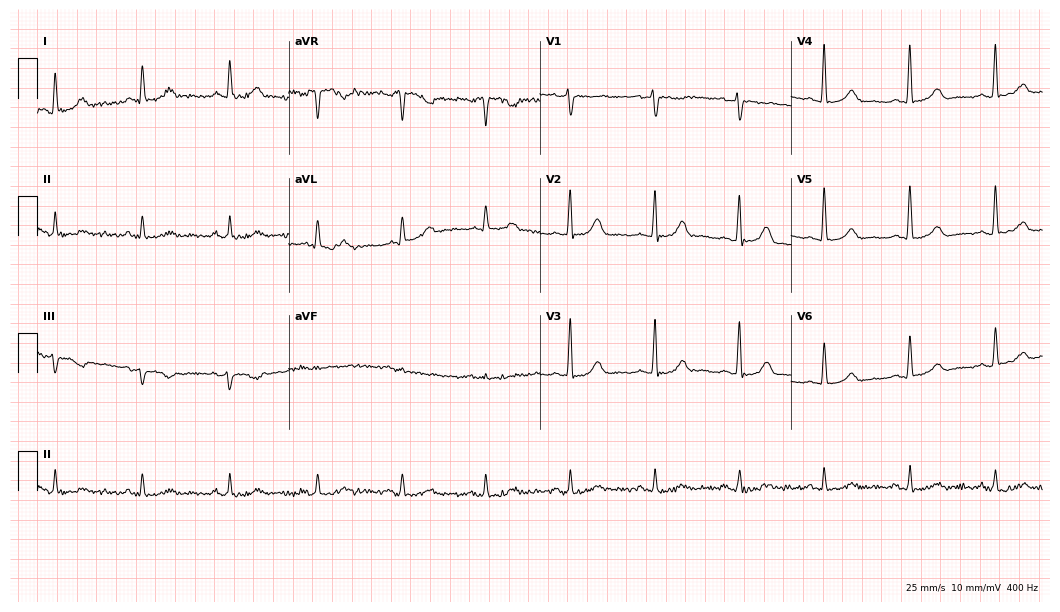
Standard 12-lead ECG recorded from a 51-year-old woman. None of these six findings is recorded: first-degree AV block, right bundle branch block, left bundle branch block, sinus bradycardia, atrial fibrillation, sinus tachycardia.